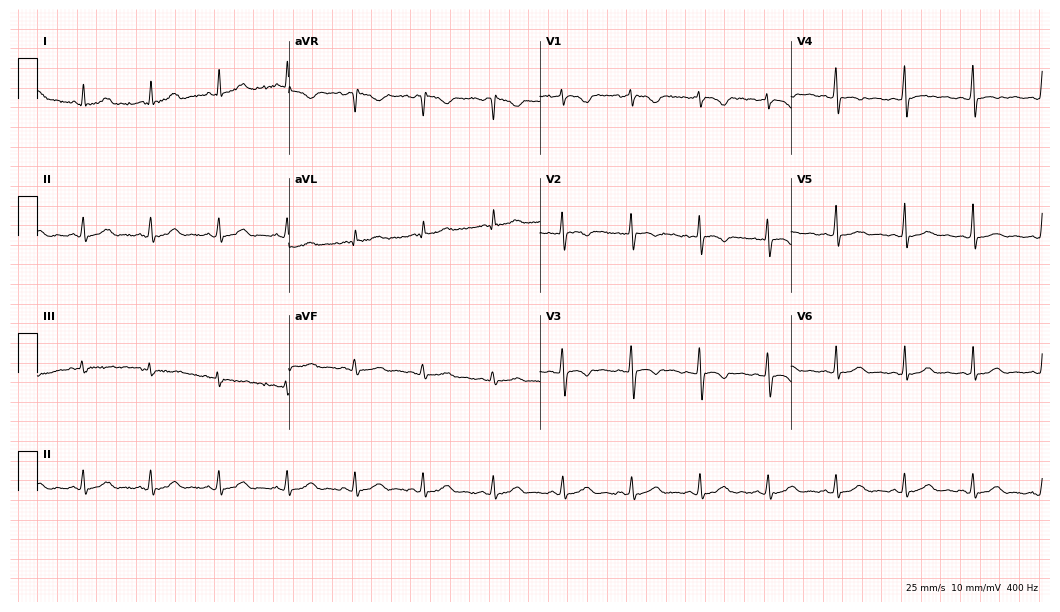
ECG — a 24-year-old woman. Screened for six findings — first-degree AV block, right bundle branch block, left bundle branch block, sinus bradycardia, atrial fibrillation, sinus tachycardia — none is recorded.